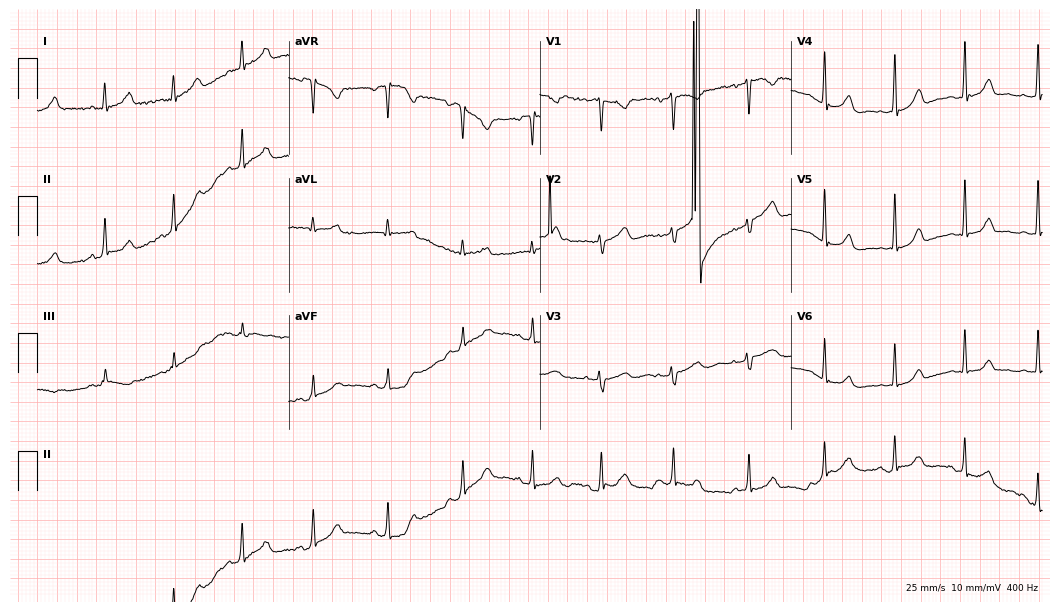
Standard 12-lead ECG recorded from a 31-year-old woman (10.2-second recording at 400 Hz). Read as a normal ECG.